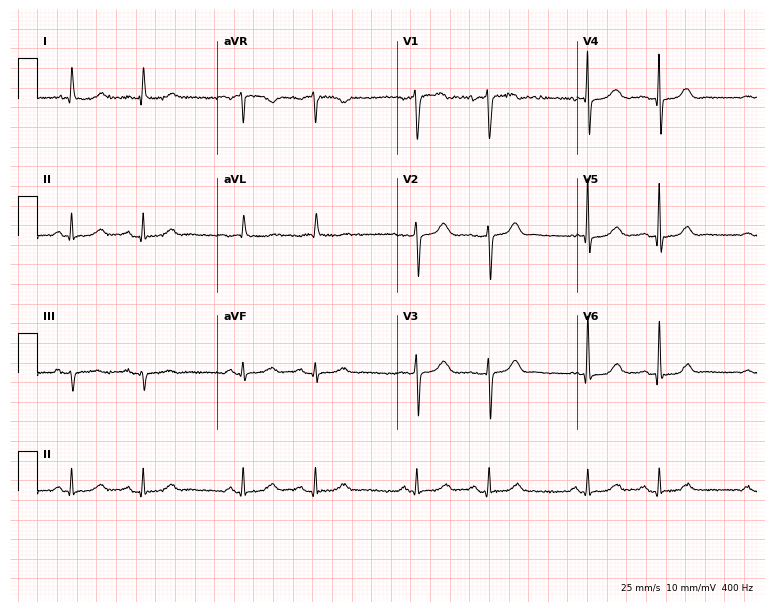
12-lead ECG from a male patient, 82 years old (7.3-second recording at 400 Hz). No first-degree AV block, right bundle branch block, left bundle branch block, sinus bradycardia, atrial fibrillation or sinus tachycardia recorded for this tracing. Only these six findings were labelled.